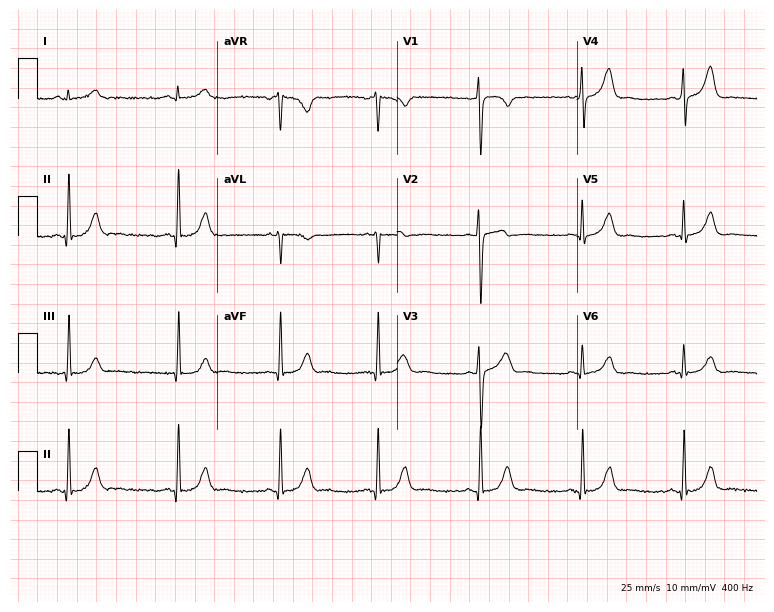
Resting 12-lead electrocardiogram (7.3-second recording at 400 Hz). Patient: a female, 31 years old. Read as a normal ECG.